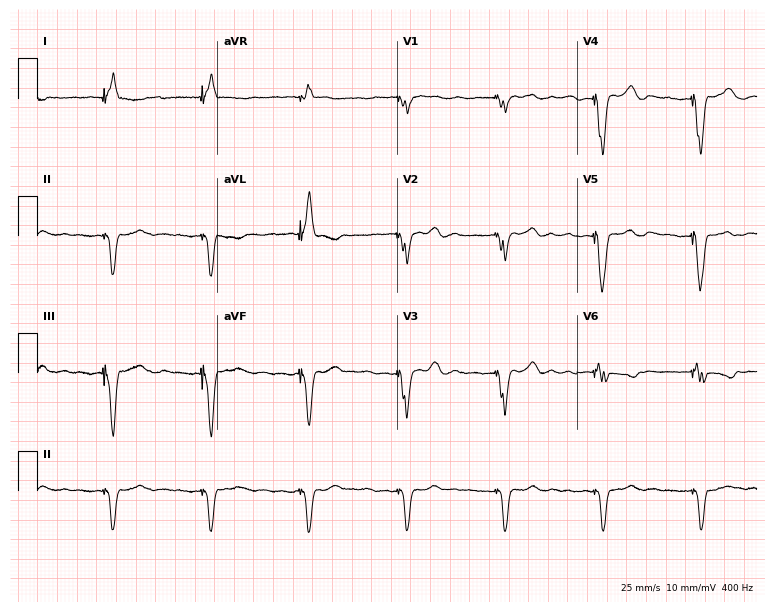
12-lead ECG (7.3-second recording at 400 Hz) from a 73-year-old woman. Screened for six findings — first-degree AV block, right bundle branch block (RBBB), left bundle branch block (LBBB), sinus bradycardia, atrial fibrillation (AF), sinus tachycardia — none is recorded. Only these six findings were labelled.